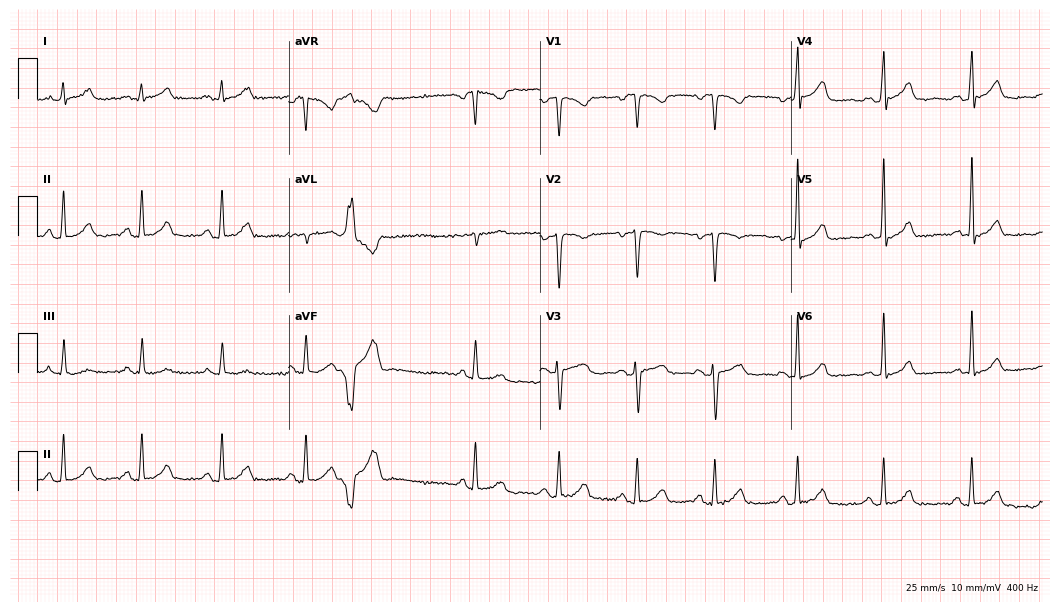
12-lead ECG from a female, 38 years old. Recorded interpretation: within normal limits.